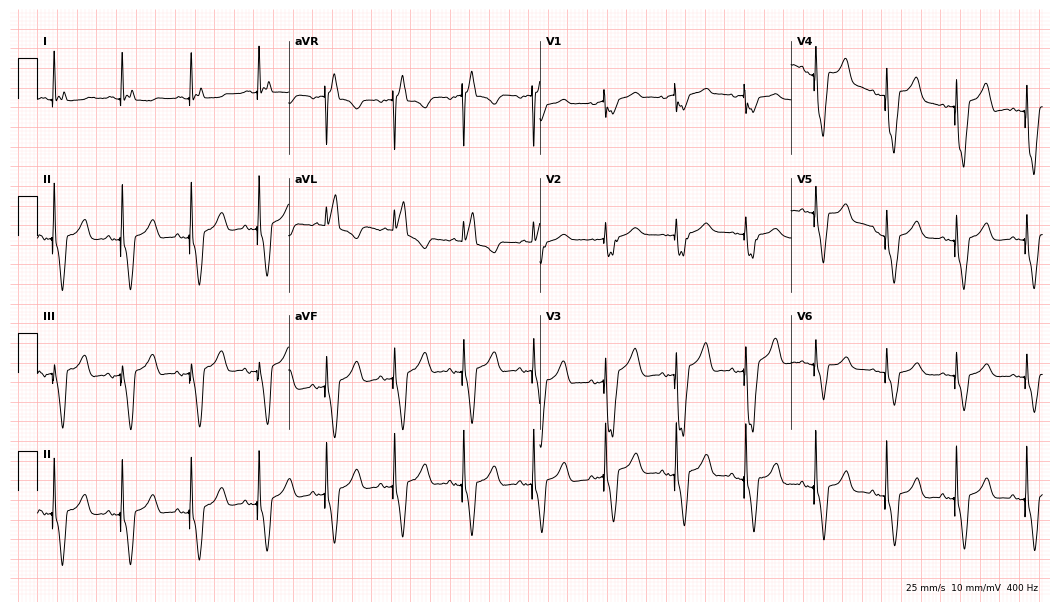
Resting 12-lead electrocardiogram (10.2-second recording at 400 Hz). Patient: a male, 82 years old. None of these six findings is recorded: first-degree AV block, right bundle branch block, left bundle branch block, sinus bradycardia, atrial fibrillation, sinus tachycardia. Only these six findings were labelled.